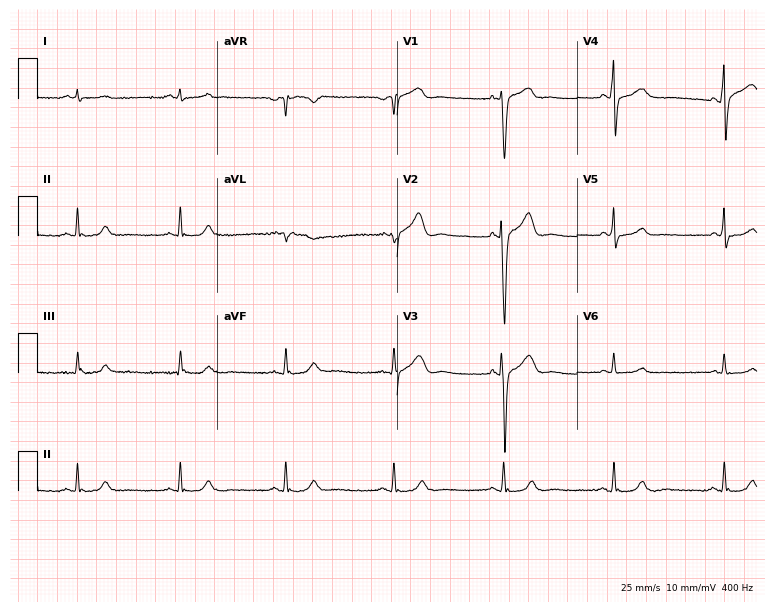
Standard 12-lead ECG recorded from a male, 56 years old. None of these six findings is recorded: first-degree AV block, right bundle branch block, left bundle branch block, sinus bradycardia, atrial fibrillation, sinus tachycardia. Only these six findings were labelled.